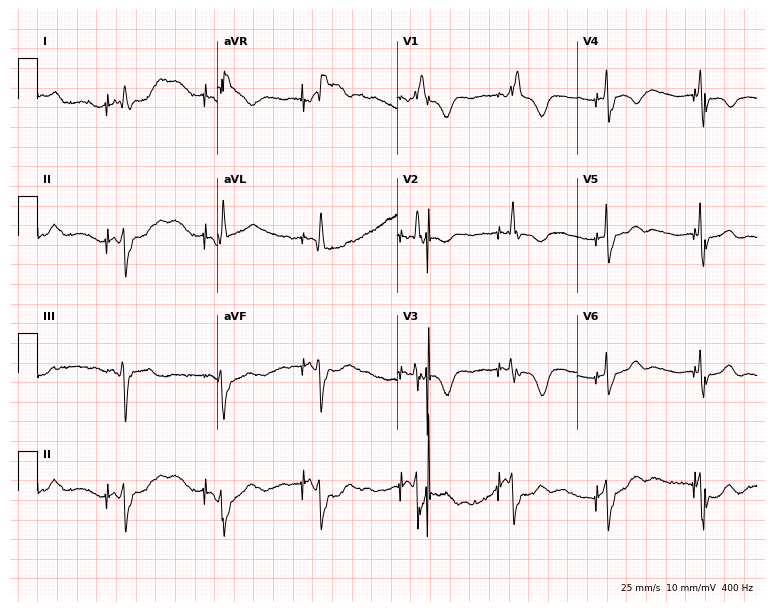
Electrocardiogram, a female patient, 40 years old. Of the six screened findings (first-degree AV block, right bundle branch block (RBBB), left bundle branch block (LBBB), sinus bradycardia, atrial fibrillation (AF), sinus tachycardia), none is recorded. Other findings, if any, are not listed.